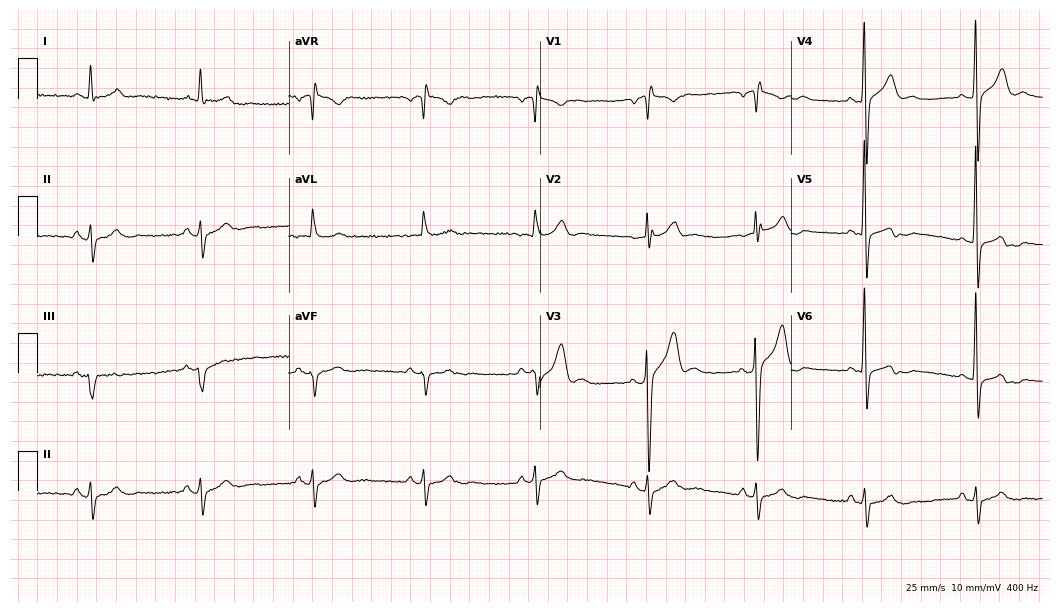
Resting 12-lead electrocardiogram (10.2-second recording at 400 Hz). Patient: a 51-year-old male. None of these six findings is recorded: first-degree AV block, right bundle branch block, left bundle branch block, sinus bradycardia, atrial fibrillation, sinus tachycardia. Other findings, if any, are not listed.